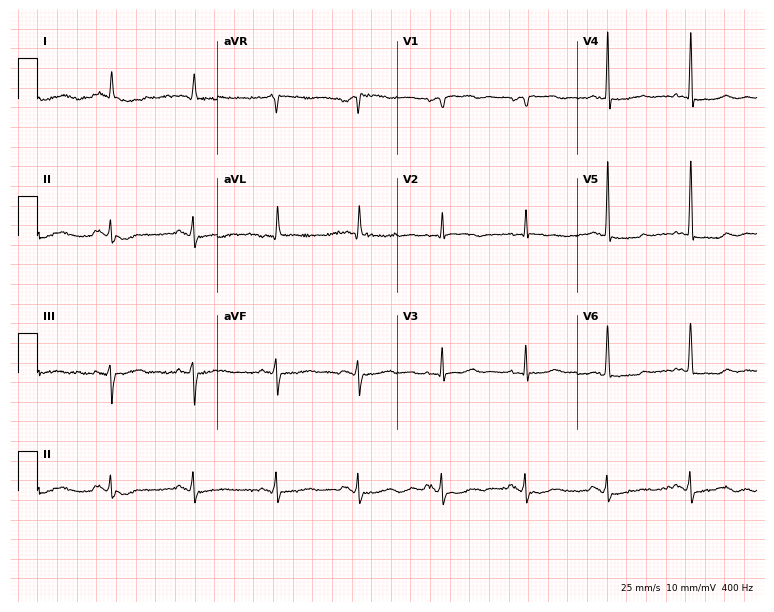
12-lead ECG (7.3-second recording at 400 Hz) from an 82-year-old woman. Screened for six findings — first-degree AV block, right bundle branch block, left bundle branch block, sinus bradycardia, atrial fibrillation, sinus tachycardia — none is recorded. Findings outside these six are not listed.